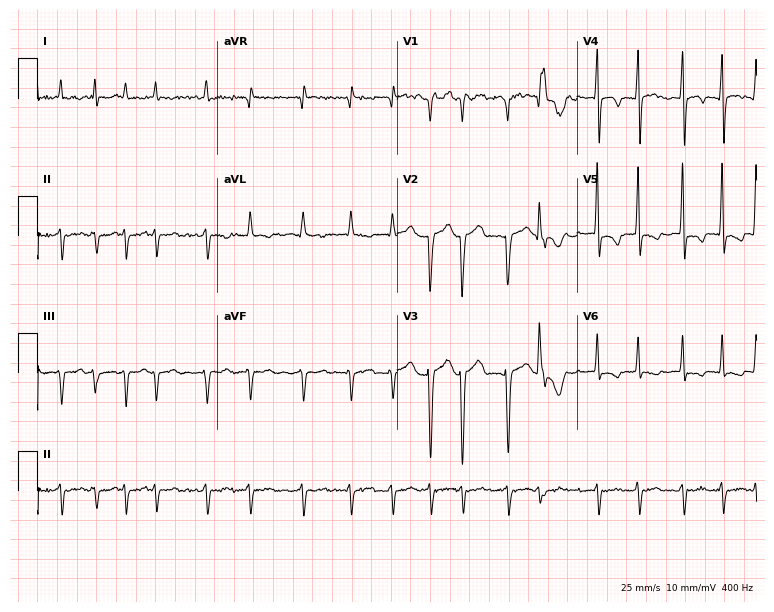
Electrocardiogram, a male patient, 84 years old. Interpretation includes atrial fibrillation.